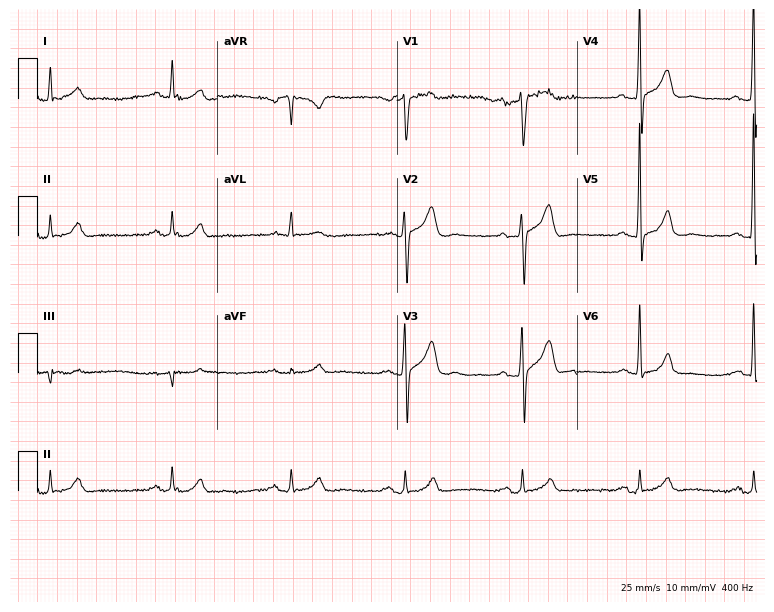
12-lead ECG from a male patient, 50 years old. Labelled as a normal ECG.